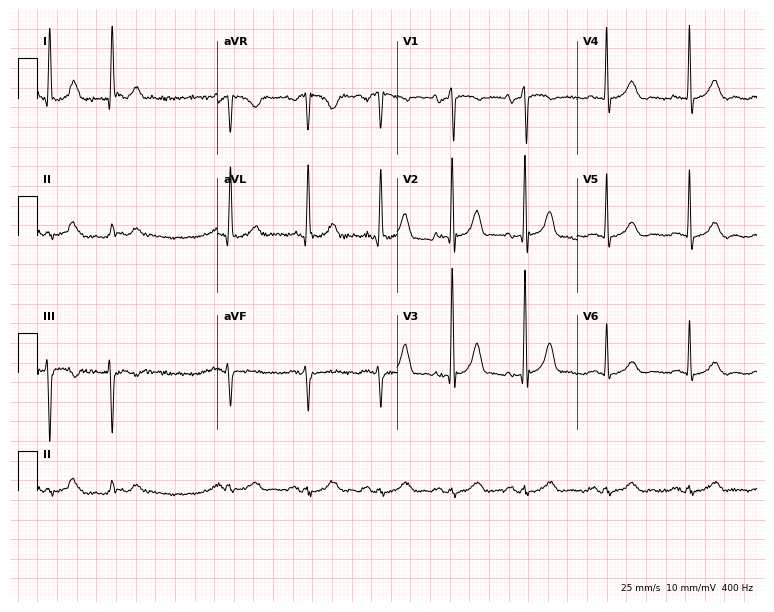
Electrocardiogram, a woman, 73 years old. Of the six screened findings (first-degree AV block, right bundle branch block (RBBB), left bundle branch block (LBBB), sinus bradycardia, atrial fibrillation (AF), sinus tachycardia), none is recorded. Findings outside these six are not listed.